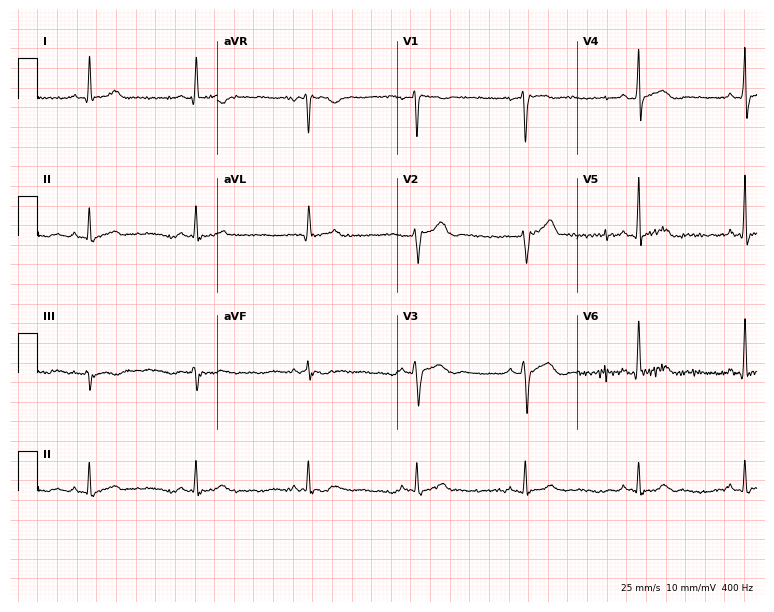
Electrocardiogram (7.3-second recording at 400 Hz), a male, 46 years old. Overall reading on record: normal ECG.